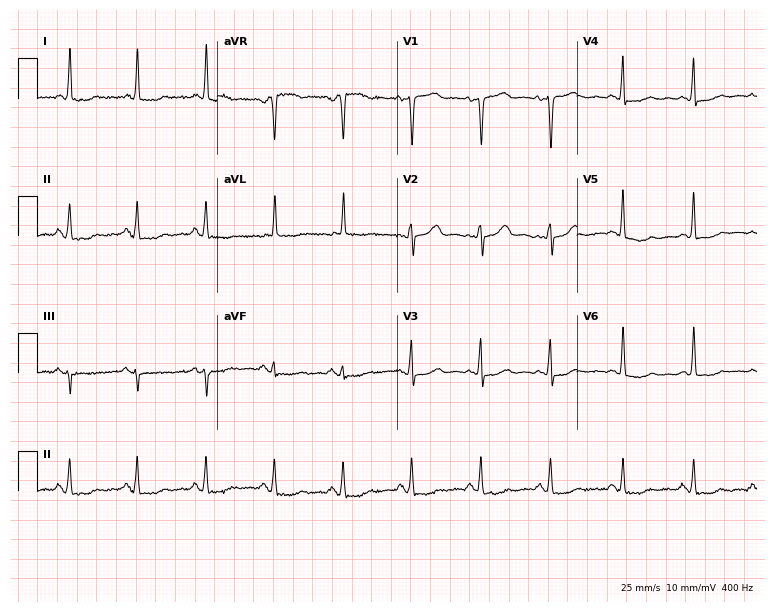
Standard 12-lead ECG recorded from a female patient, 66 years old (7.3-second recording at 400 Hz). None of these six findings is recorded: first-degree AV block, right bundle branch block (RBBB), left bundle branch block (LBBB), sinus bradycardia, atrial fibrillation (AF), sinus tachycardia. Only these six findings were labelled.